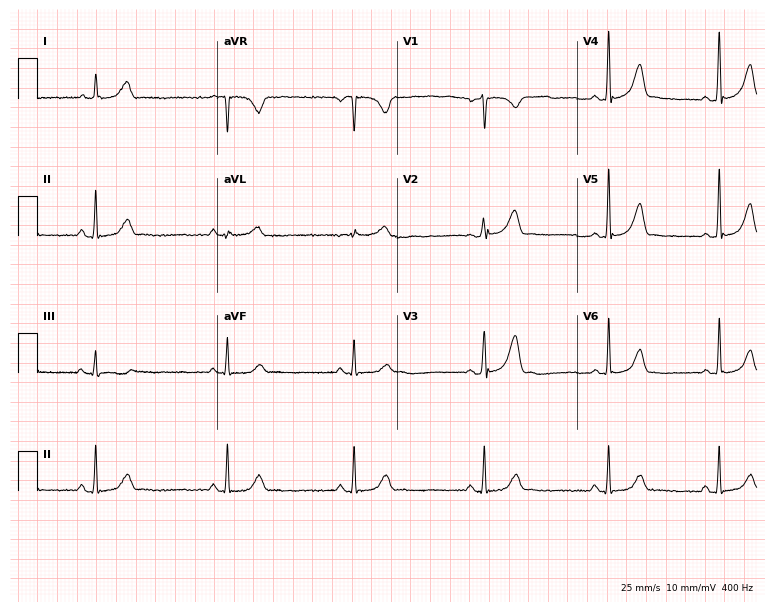
Standard 12-lead ECG recorded from a female patient, 47 years old (7.3-second recording at 400 Hz). The tracing shows sinus bradycardia (a sinus rate of 50 beats per minute or less).